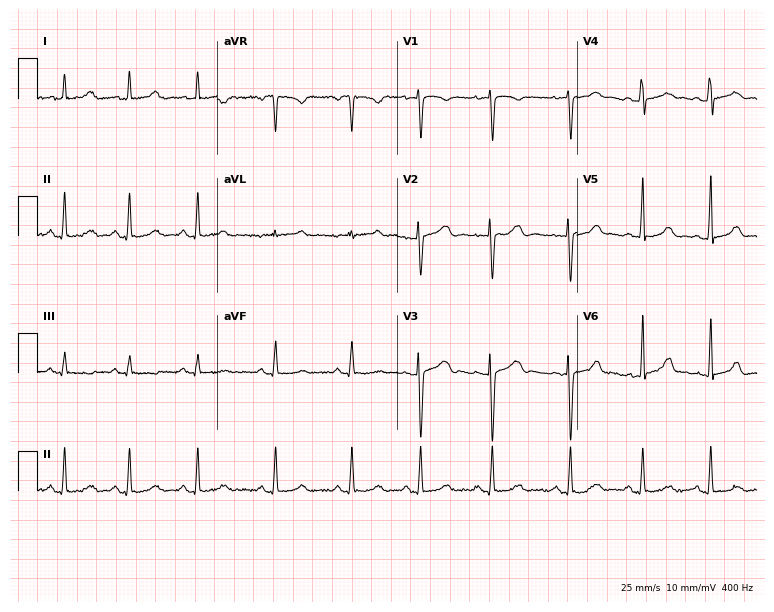
Resting 12-lead electrocardiogram. Patient: a 20-year-old woman. Read as a normal ECG.